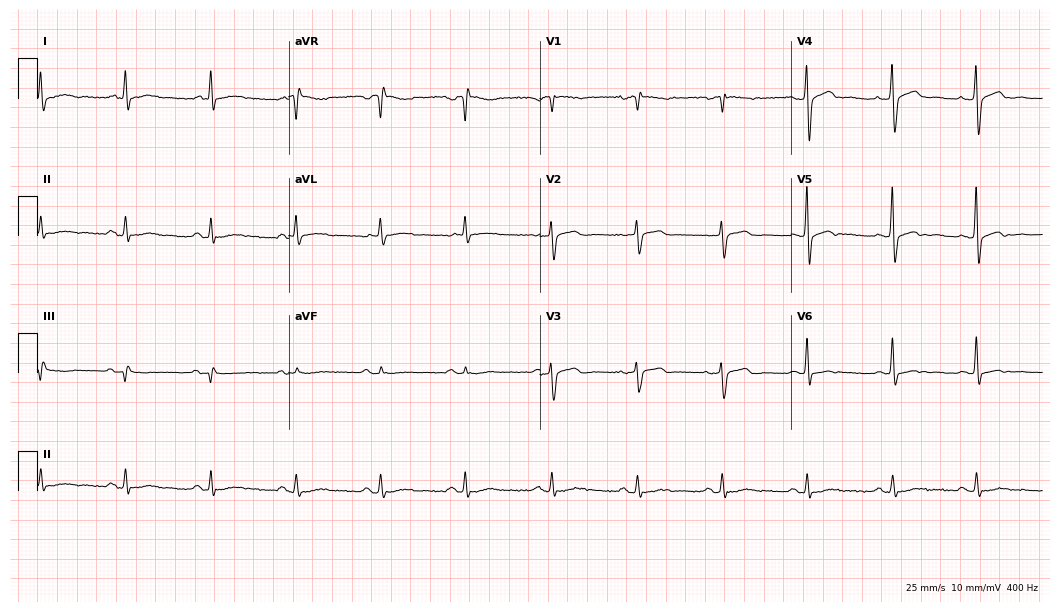
12-lead ECG from a female patient, 65 years old. Labelled as a normal ECG.